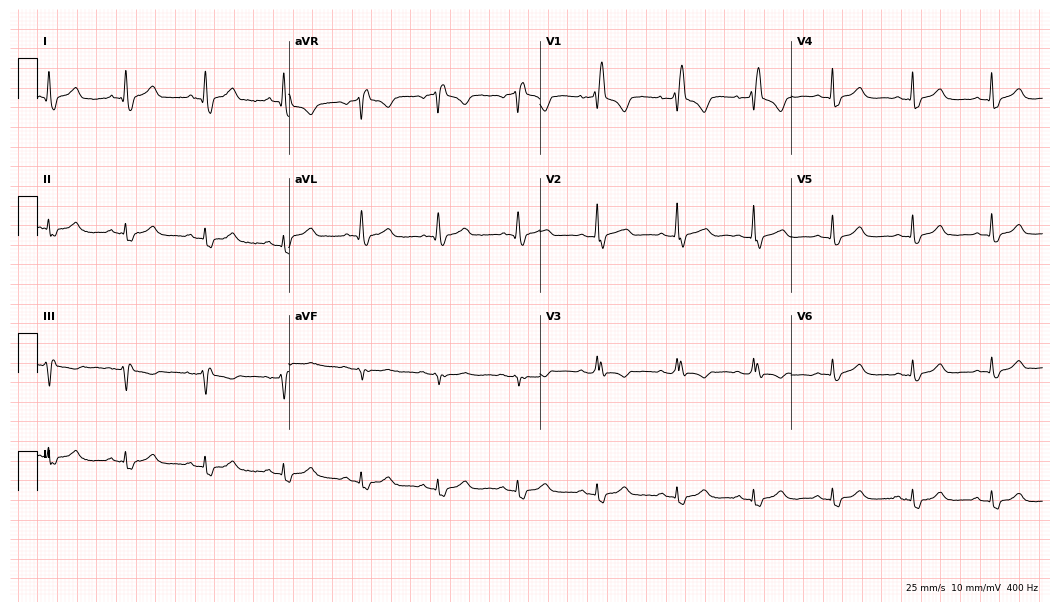
12-lead ECG (10.2-second recording at 400 Hz) from a female, 60 years old. Screened for six findings — first-degree AV block, right bundle branch block (RBBB), left bundle branch block (LBBB), sinus bradycardia, atrial fibrillation (AF), sinus tachycardia — none is recorded.